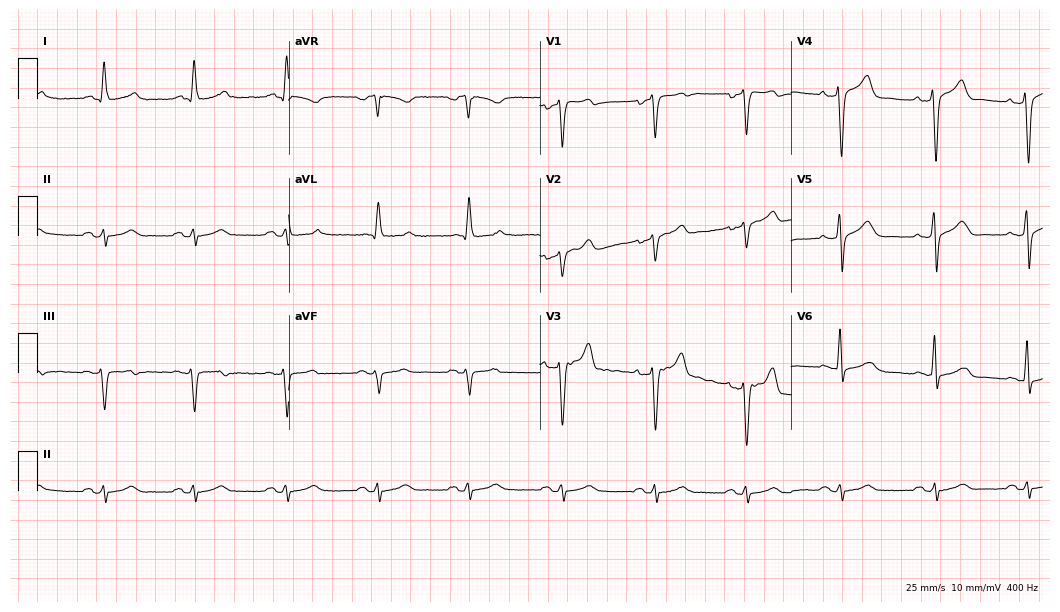
Electrocardiogram, a 65-year-old man. Of the six screened findings (first-degree AV block, right bundle branch block, left bundle branch block, sinus bradycardia, atrial fibrillation, sinus tachycardia), none is recorded.